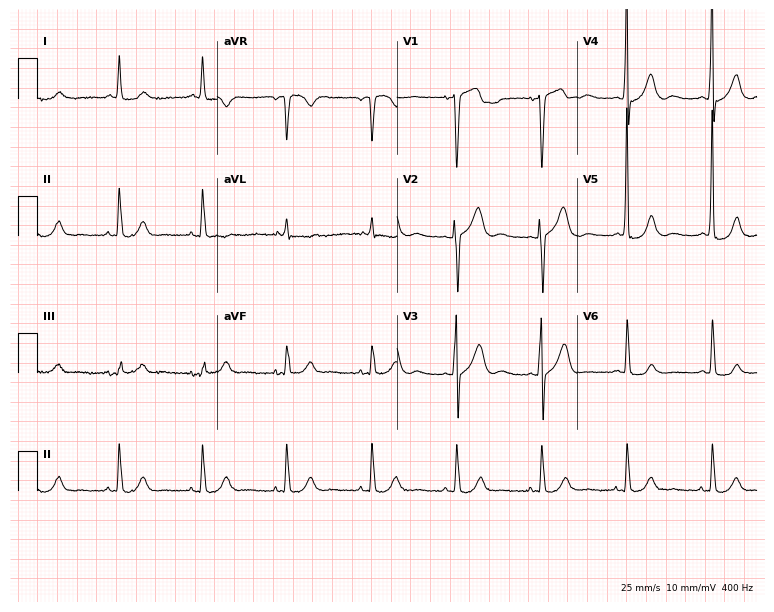
Standard 12-lead ECG recorded from a male patient, 81 years old (7.3-second recording at 400 Hz). None of these six findings is recorded: first-degree AV block, right bundle branch block, left bundle branch block, sinus bradycardia, atrial fibrillation, sinus tachycardia.